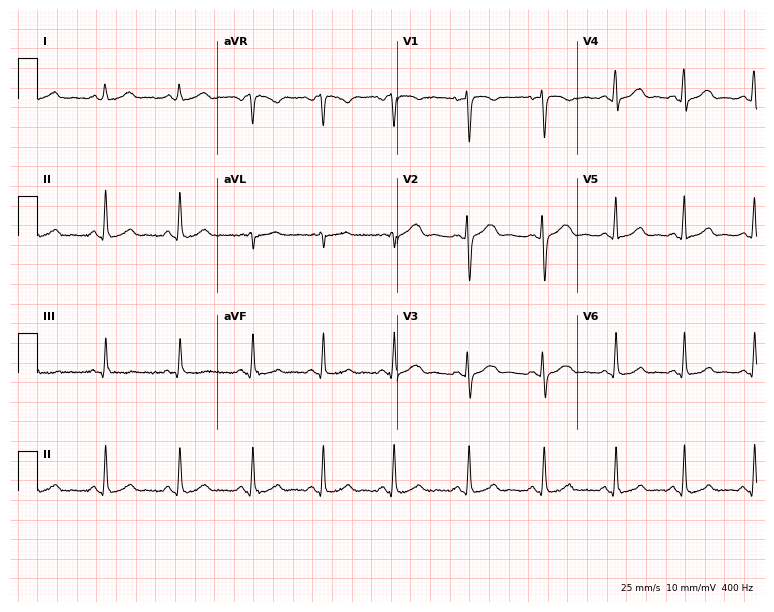
ECG — a woman, 23 years old. Labelled as a normal ECG.